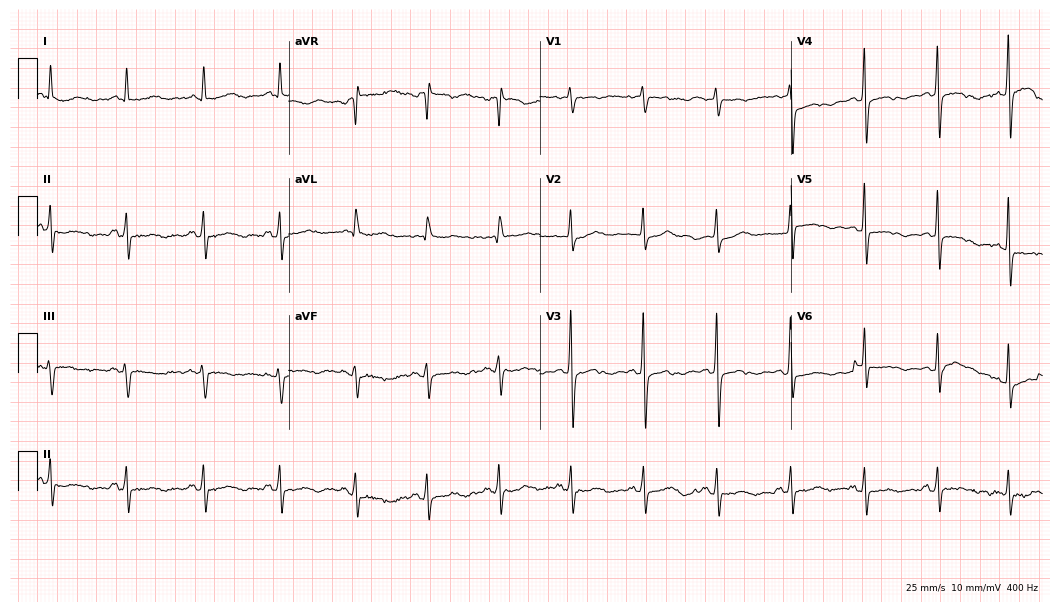
Resting 12-lead electrocardiogram (10.2-second recording at 400 Hz). Patient: a female, 69 years old. None of these six findings is recorded: first-degree AV block, right bundle branch block, left bundle branch block, sinus bradycardia, atrial fibrillation, sinus tachycardia. Other findings, if any, are not listed.